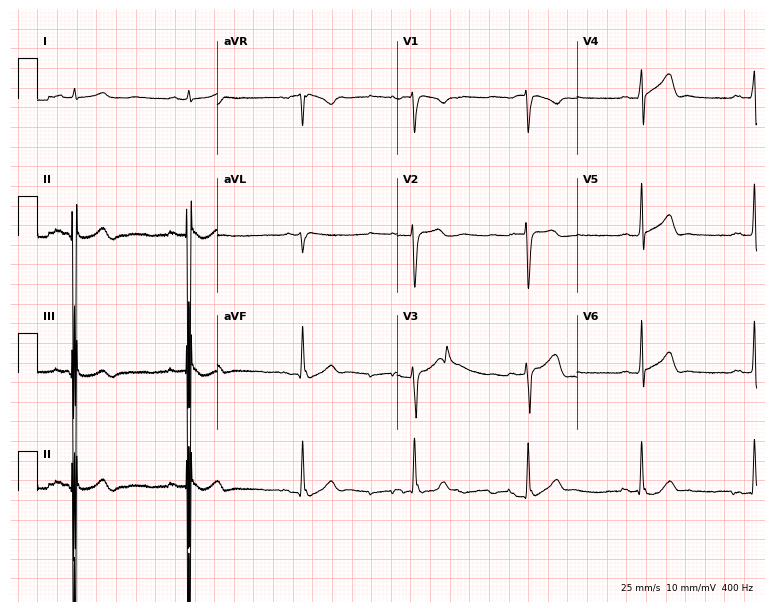
12-lead ECG from a male, 51 years old (7.3-second recording at 400 Hz). No first-degree AV block, right bundle branch block, left bundle branch block, sinus bradycardia, atrial fibrillation or sinus tachycardia recorded for this tracing. Other findings, if any, are not listed.